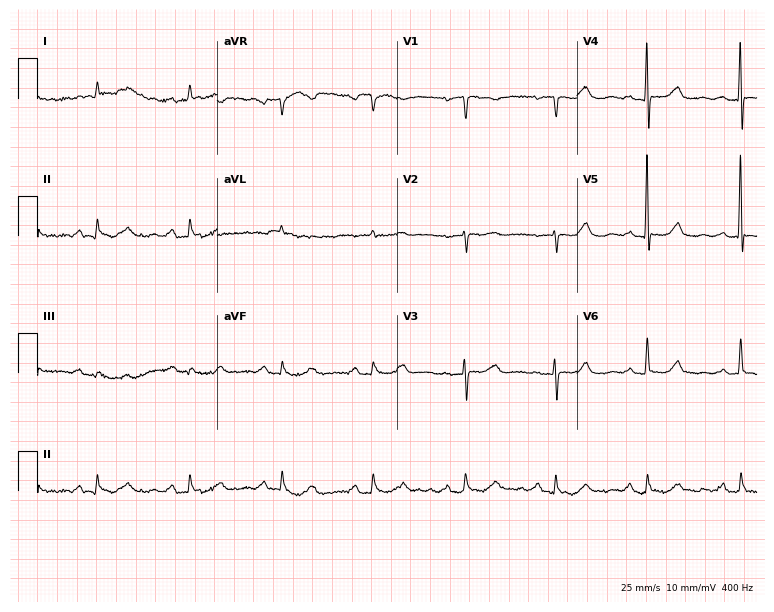
12-lead ECG (7.3-second recording at 400 Hz) from a 75-year-old female. Labelled as a normal ECG.